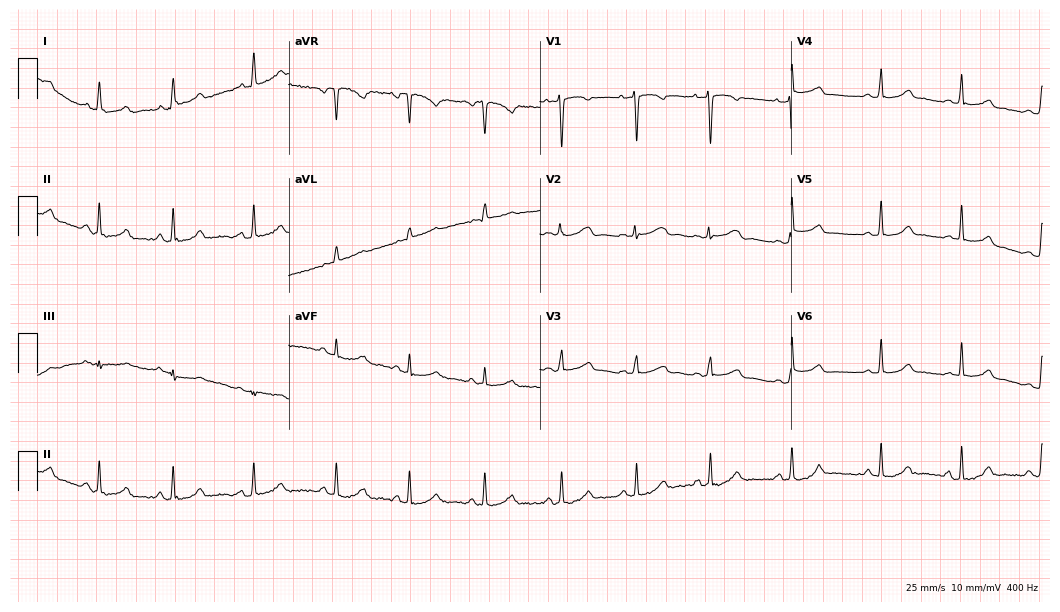
12-lead ECG (10.2-second recording at 400 Hz) from a 37-year-old female patient. Labelled as a normal ECG.